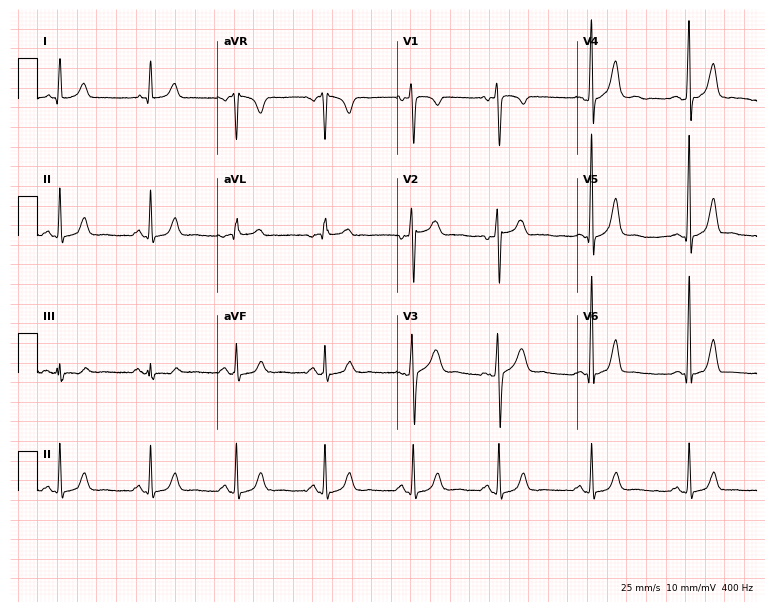
Resting 12-lead electrocardiogram. Patient: a 27-year-old man. Read as a normal ECG.